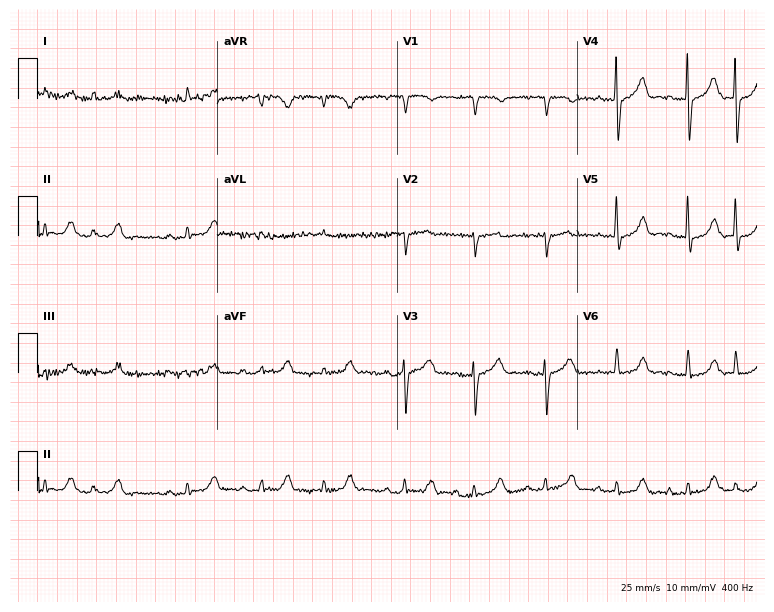
12-lead ECG (7.3-second recording at 400 Hz) from an 85-year-old male patient. Screened for six findings — first-degree AV block, right bundle branch block, left bundle branch block, sinus bradycardia, atrial fibrillation, sinus tachycardia — none is recorded.